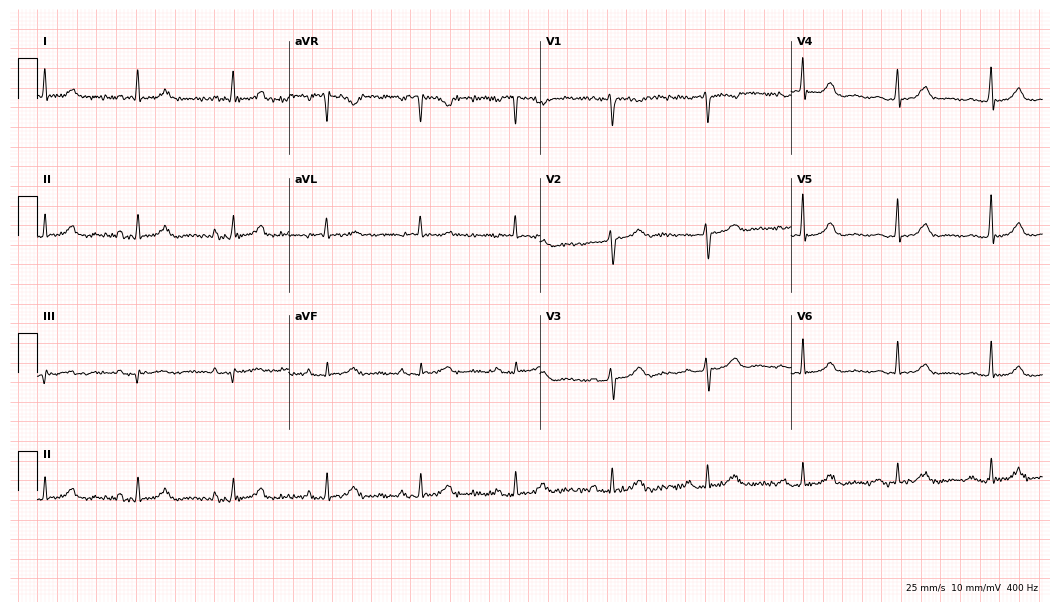
Electrocardiogram, a woman, 67 years old. Overall reading on record: normal ECG.